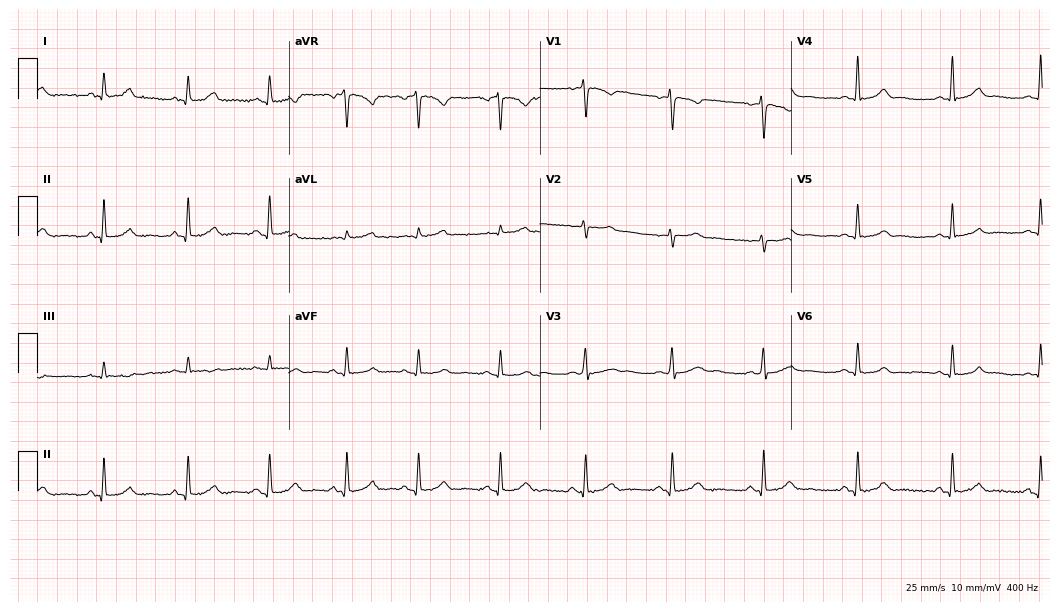
ECG (10.2-second recording at 400 Hz) — a 36-year-old woman. Labelled as a normal ECG.